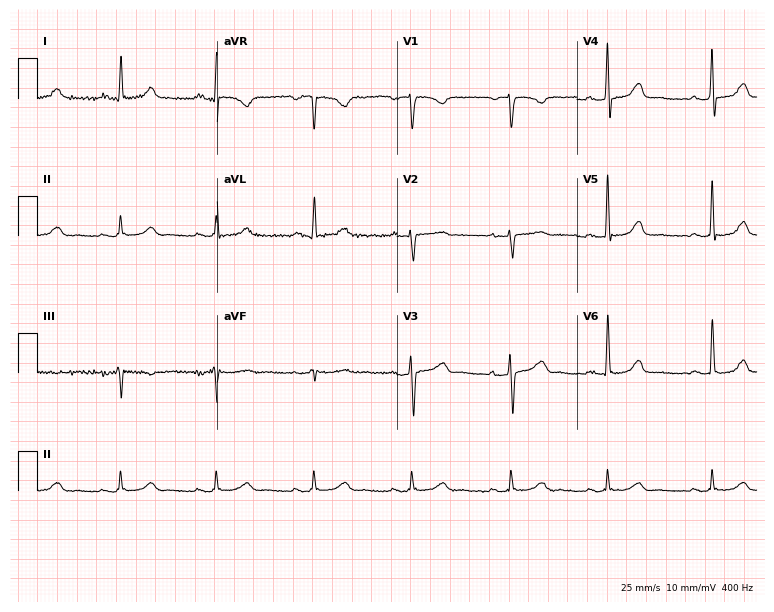
Electrocardiogram, a 57-year-old female patient. Overall reading on record: normal ECG.